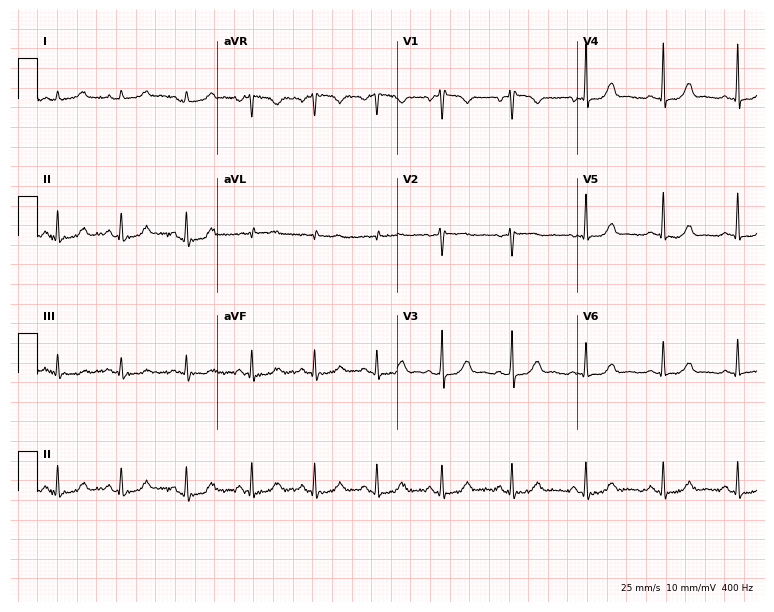
12-lead ECG from a 32-year-old woman. No first-degree AV block, right bundle branch block, left bundle branch block, sinus bradycardia, atrial fibrillation or sinus tachycardia recorded for this tracing. Findings outside these six are not listed.